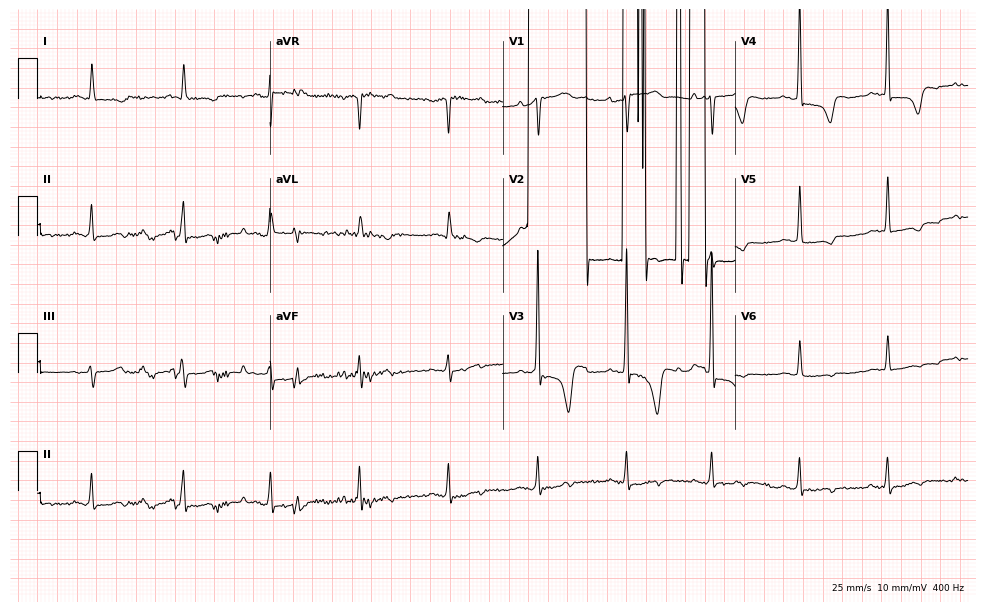
Standard 12-lead ECG recorded from a woman, 71 years old. None of these six findings is recorded: first-degree AV block, right bundle branch block (RBBB), left bundle branch block (LBBB), sinus bradycardia, atrial fibrillation (AF), sinus tachycardia. Only these six findings were labelled.